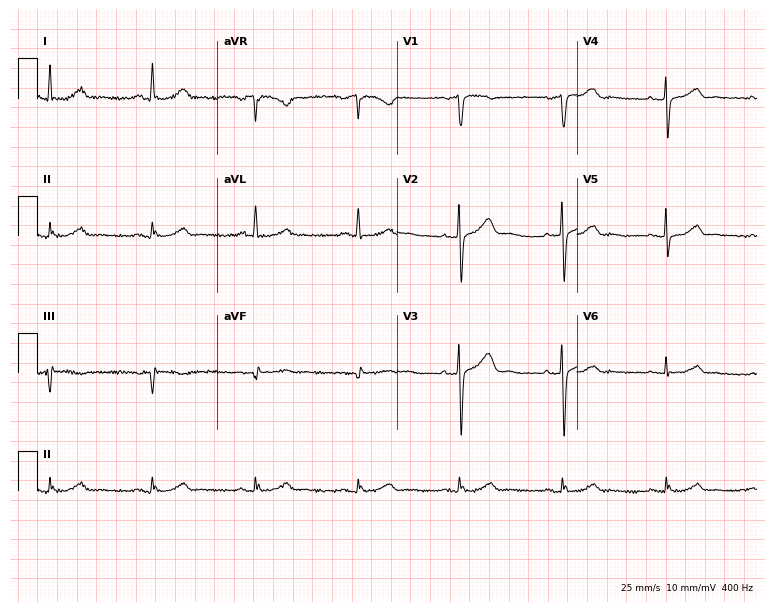
Resting 12-lead electrocardiogram. Patient: a 54-year-old woman. Read as a normal ECG.